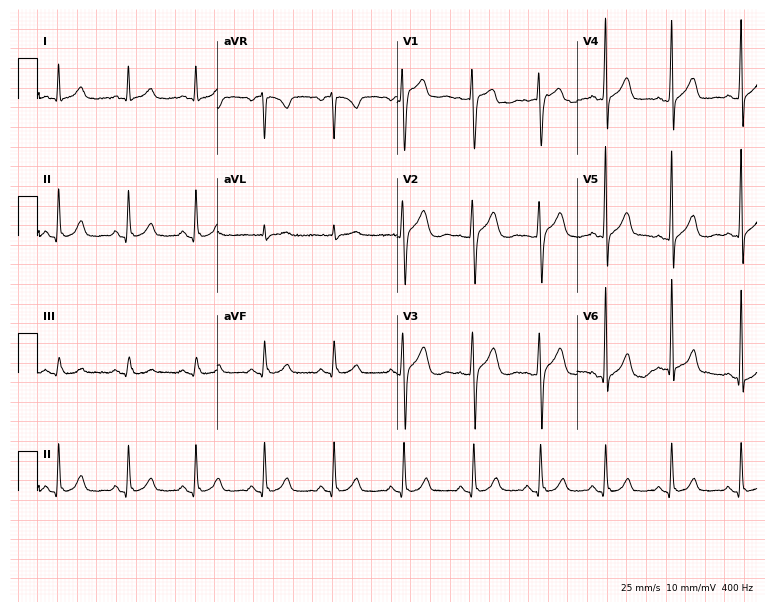
ECG (7.3-second recording at 400 Hz) — a 26-year-old man. Labelled as a normal ECG.